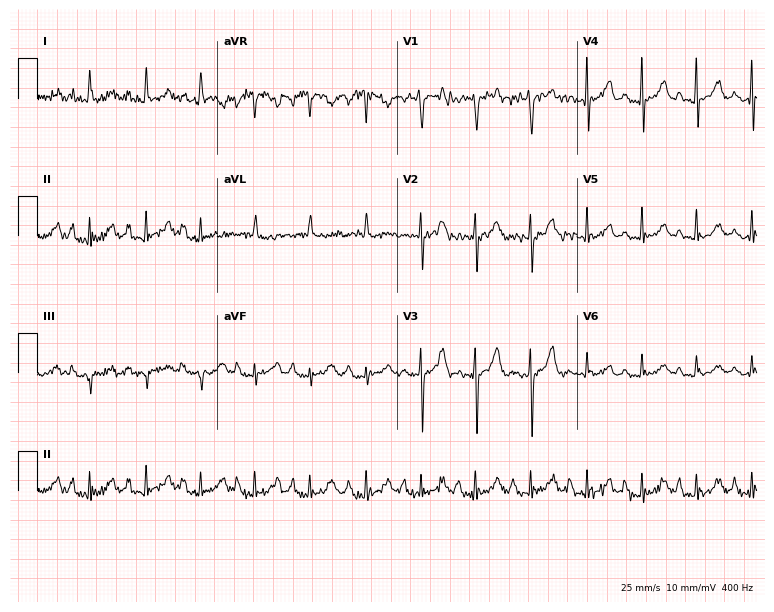
ECG (7.3-second recording at 400 Hz) — a 71-year-old woman. Screened for six findings — first-degree AV block, right bundle branch block (RBBB), left bundle branch block (LBBB), sinus bradycardia, atrial fibrillation (AF), sinus tachycardia — none is recorded. Other findings, if any, are not listed.